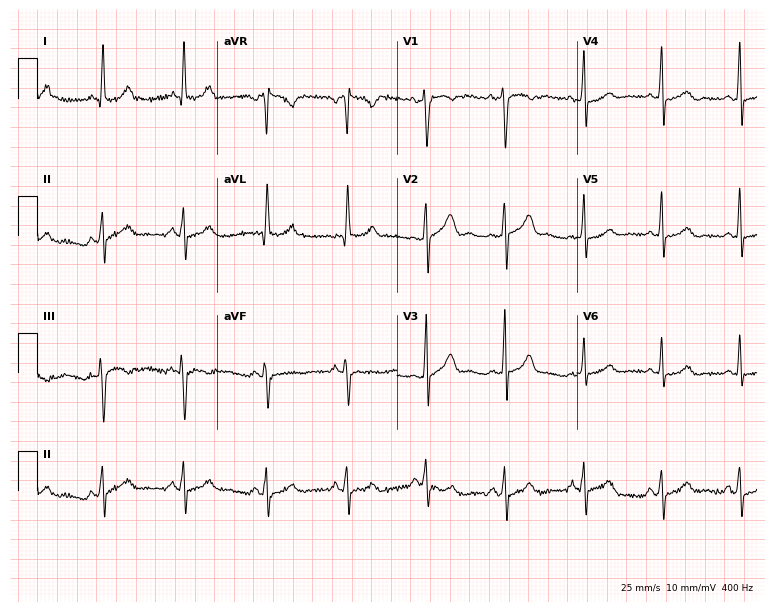
Electrocardiogram, a 34-year-old female patient. Overall reading on record: normal ECG.